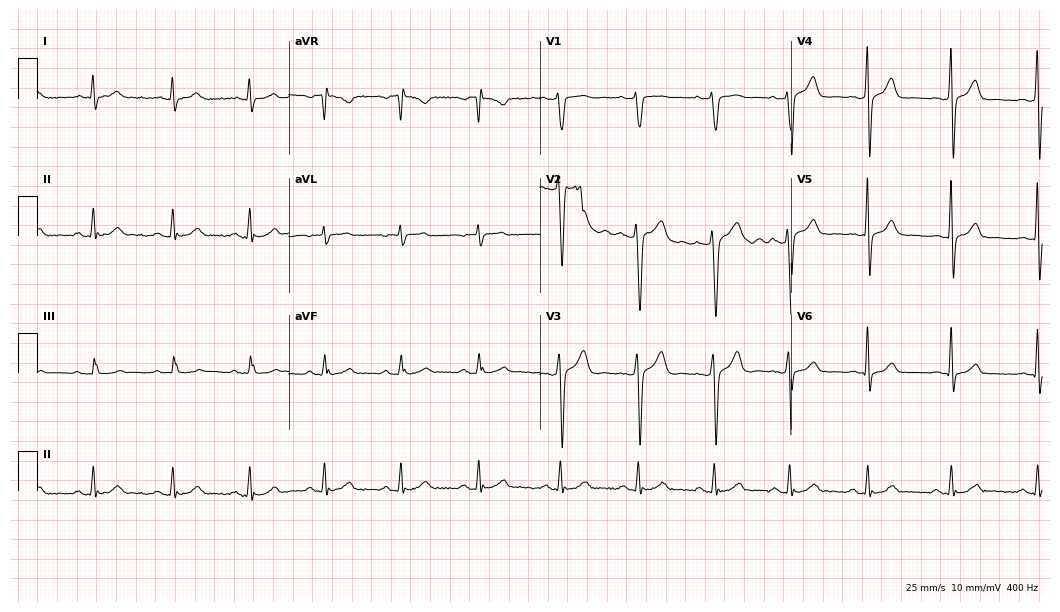
Resting 12-lead electrocardiogram (10.2-second recording at 400 Hz). Patient: a male, 30 years old. Read as a normal ECG.